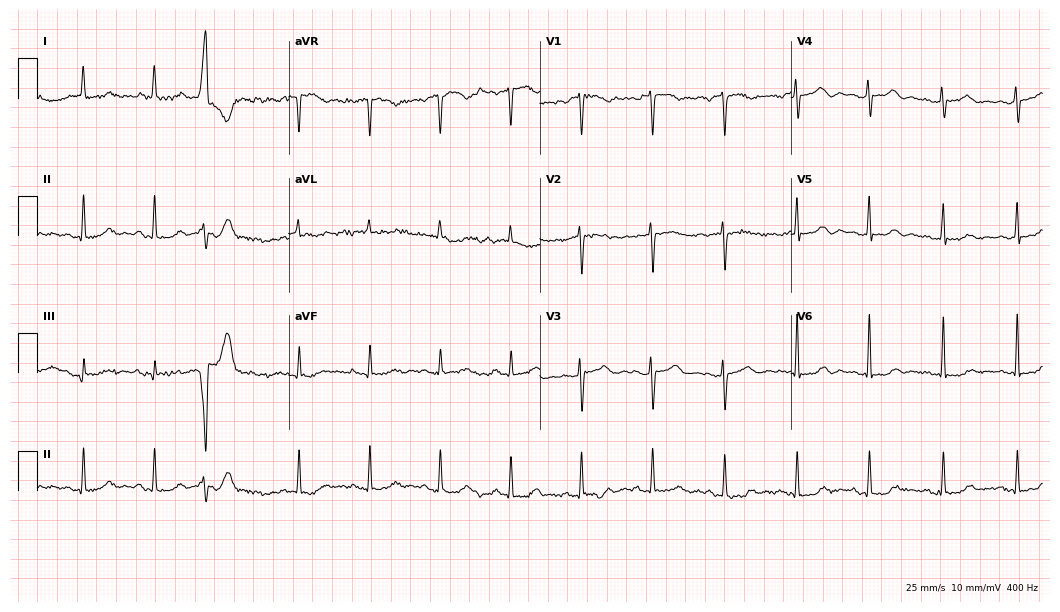
12-lead ECG from an 80-year-old woman. No first-degree AV block, right bundle branch block, left bundle branch block, sinus bradycardia, atrial fibrillation or sinus tachycardia recorded for this tracing. Findings outside these six are not listed.